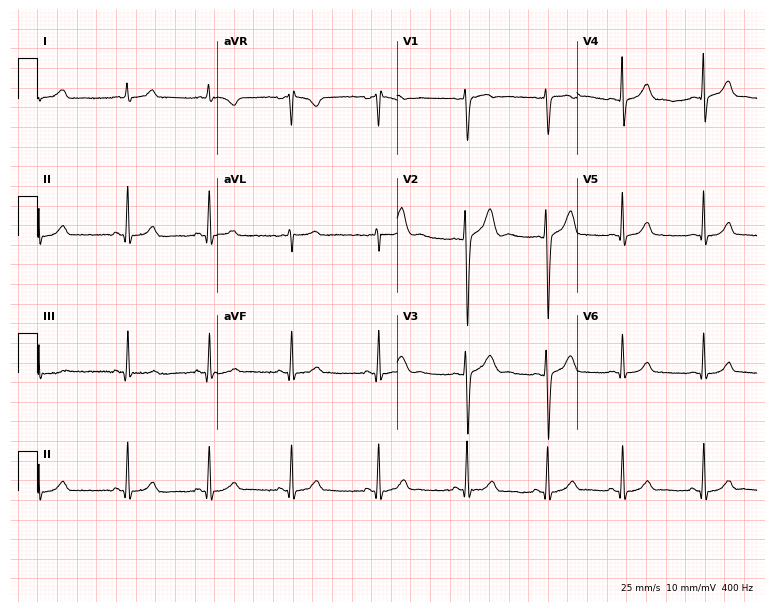
Electrocardiogram (7.3-second recording at 400 Hz), a 22-year-old female. Of the six screened findings (first-degree AV block, right bundle branch block, left bundle branch block, sinus bradycardia, atrial fibrillation, sinus tachycardia), none is recorded. Other findings, if any, are not listed.